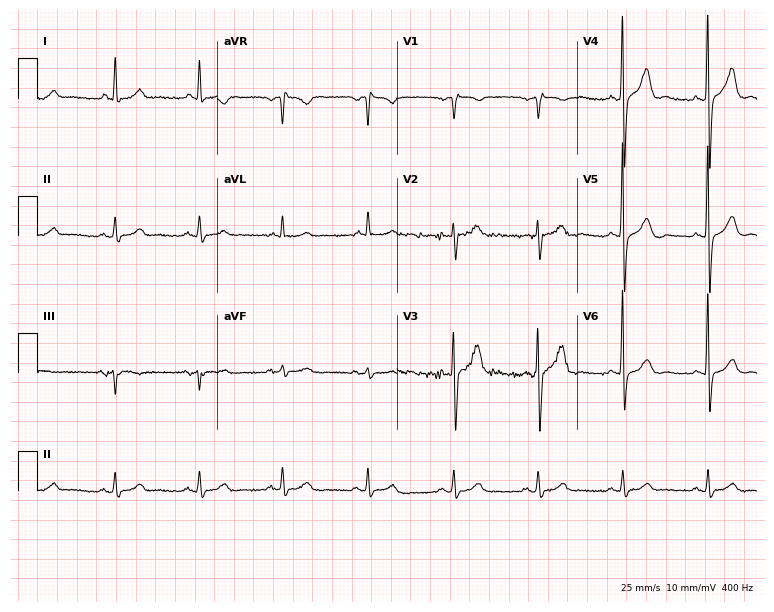
Standard 12-lead ECG recorded from a male, 69 years old. Read as a normal ECG.